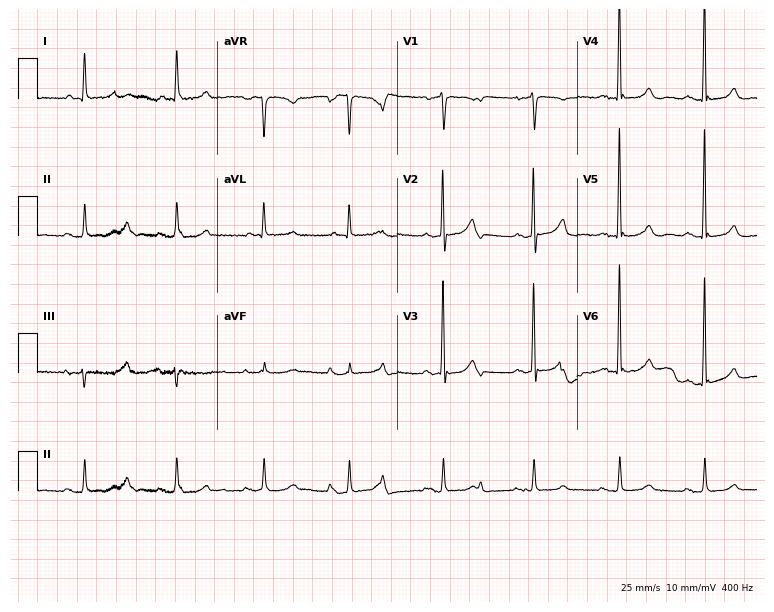
12-lead ECG from a woman, 82 years old. Screened for six findings — first-degree AV block, right bundle branch block (RBBB), left bundle branch block (LBBB), sinus bradycardia, atrial fibrillation (AF), sinus tachycardia — none is recorded. Findings outside these six are not listed.